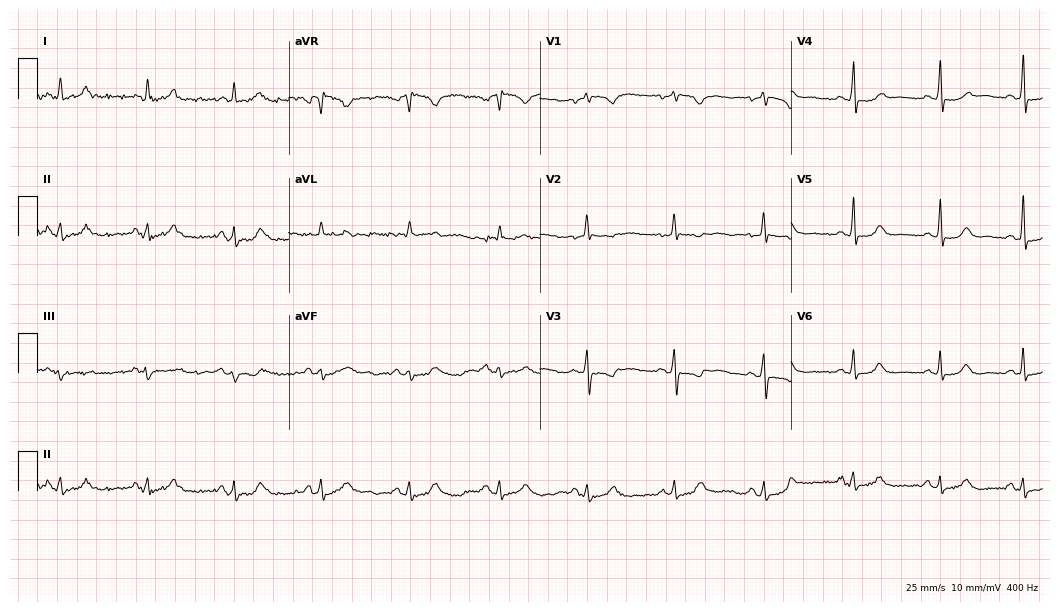
12-lead ECG (10.2-second recording at 400 Hz) from a woman, 34 years old. Screened for six findings — first-degree AV block, right bundle branch block, left bundle branch block, sinus bradycardia, atrial fibrillation, sinus tachycardia — none is recorded.